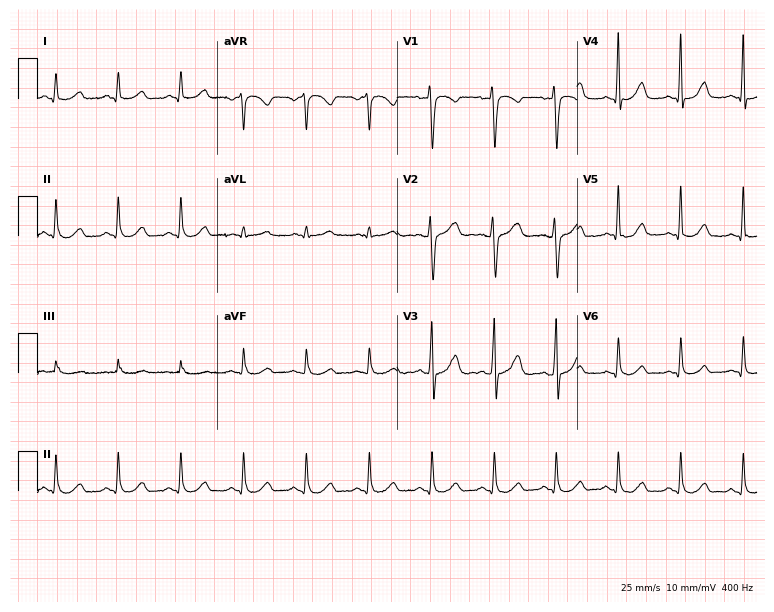
12-lead ECG from a 48-year-old woman. Labelled as a normal ECG.